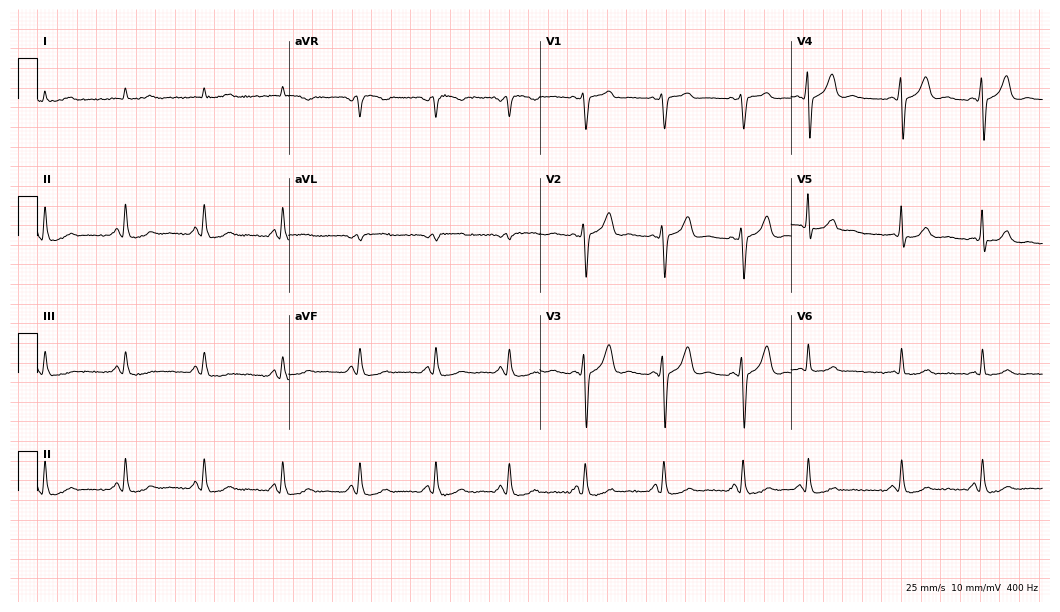
12-lead ECG from a male, 71 years old (10.2-second recording at 400 Hz). No first-degree AV block, right bundle branch block (RBBB), left bundle branch block (LBBB), sinus bradycardia, atrial fibrillation (AF) or sinus tachycardia recorded for this tracing. Only these six findings were labelled.